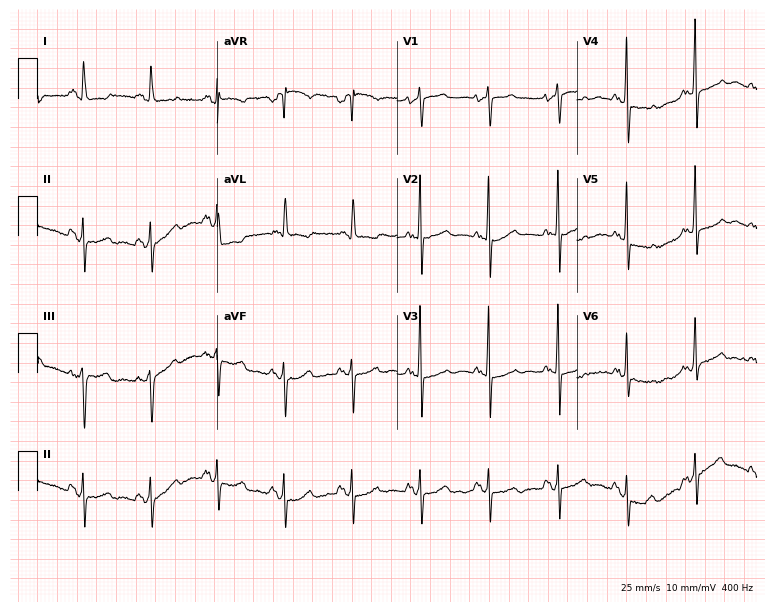
12-lead ECG from a female patient, 63 years old. Screened for six findings — first-degree AV block, right bundle branch block, left bundle branch block, sinus bradycardia, atrial fibrillation, sinus tachycardia — none is recorded.